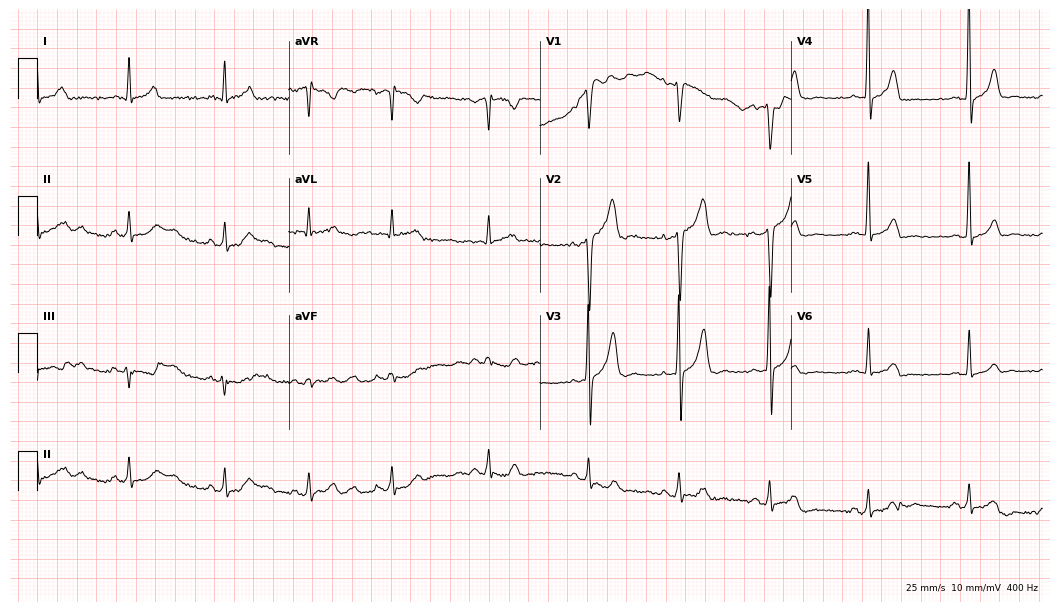
ECG — a 34-year-old man. Screened for six findings — first-degree AV block, right bundle branch block, left bundle branch block, sinus bradycardia, atrial fibrillation, sinus tachycardia — none is recorded.